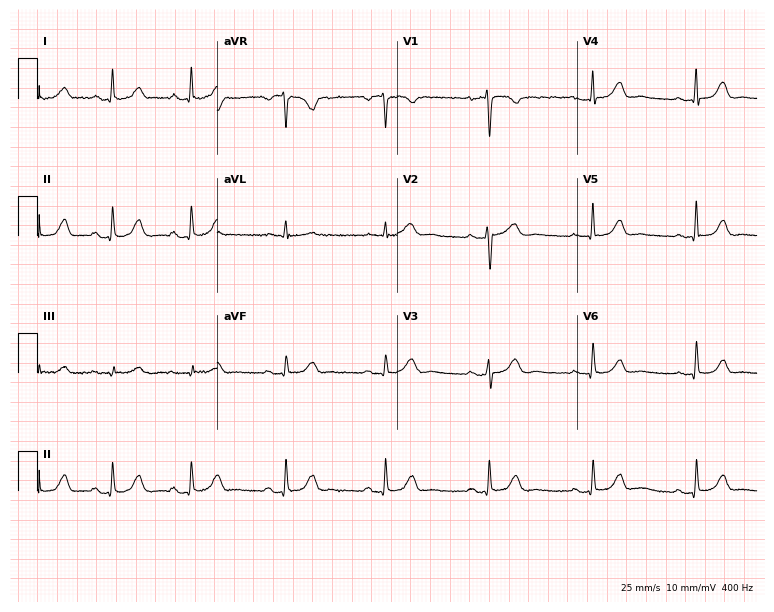
12-lead ECG from a 52-year-old female (7.3-second recording at 400 Hz). No first-degree AV block, right bundle branch block, left bundle branch block, sinus bradycardia, atrial fibrillation or sinus tachycardia recorded for this tracing. Other findings, if any, are not listed.